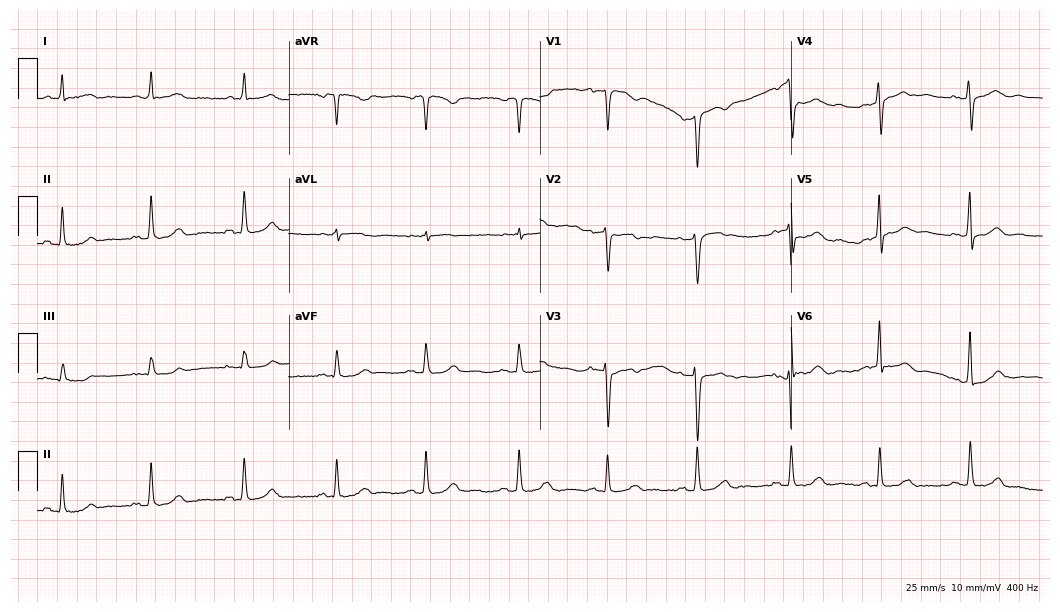
12-lead ECG from a female, 50 years old (10.2-second recording at 400 Hz). Recorded interpretation: within normal limits.